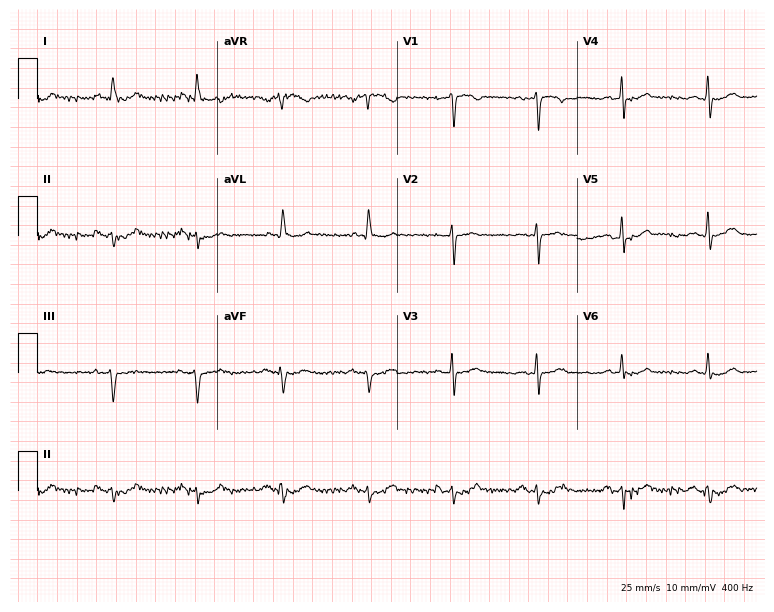
Electrocardiogram (7.3-second recording at 400 Hz), a 75-year-old female patient. Of the six screened findings (first-degree AV block, right bundle branch block (RBBB), left bundle branch block (LBBB), sinus bradycardia, atrial fibrillation (AF), sinus tachycardia), none is recorded. Findings outside these six are not listed.